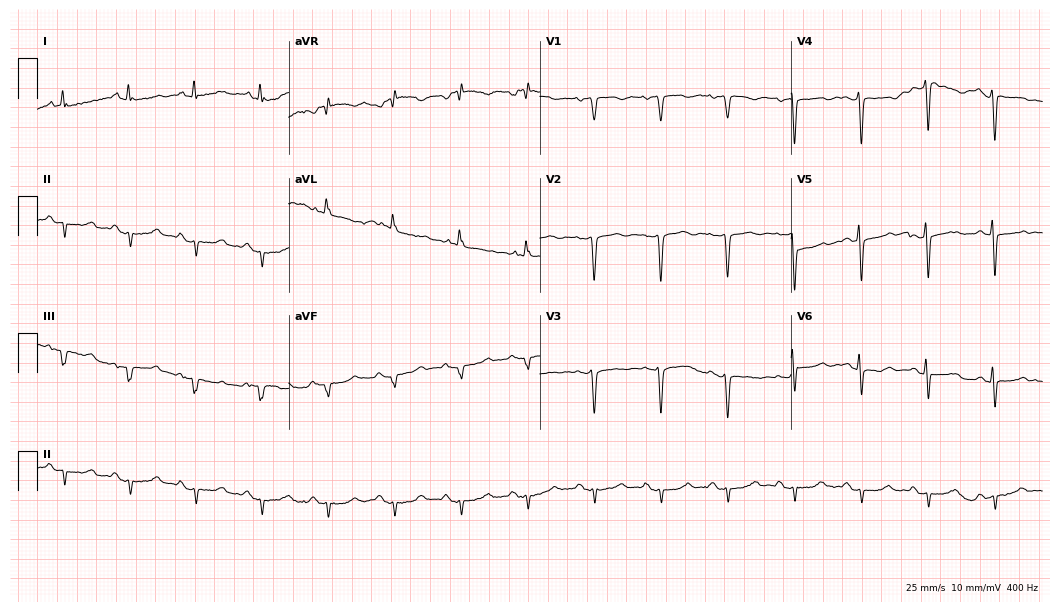
12-lead ECG from a man, 72 years old (10.2-second recording at 400 Hz). No first-degree AV block, right bundle branch block, left bundle branch block, sinus bradycardia, atrial fibrillation or sinus tachycardia recorded for this tracing. Other findings, if any, are not listed.